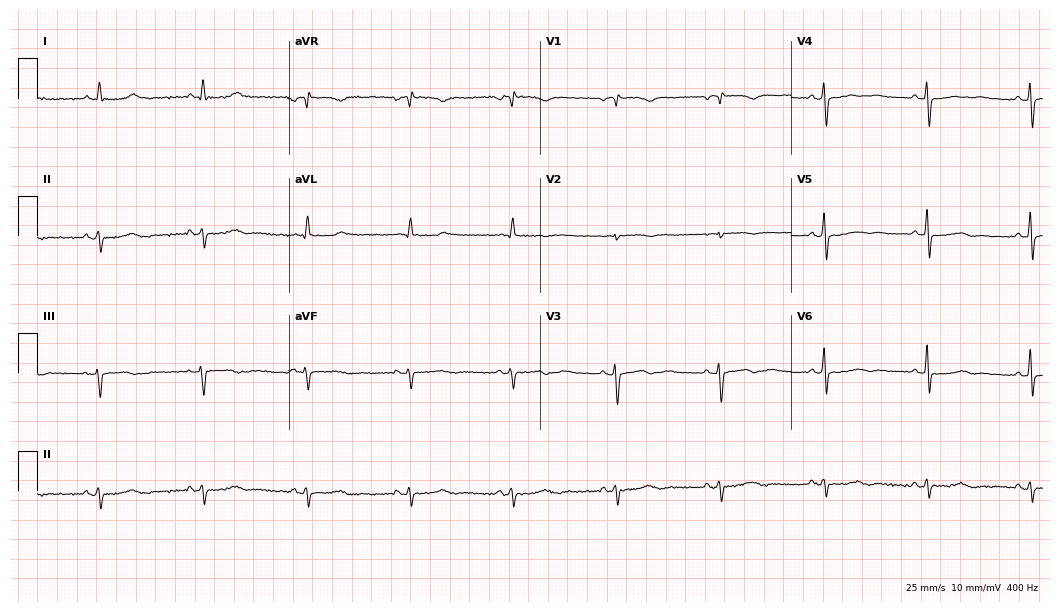
12-lead ECG from a female, 70 years old (10.2-second recording at 400 Hz). No first-degree AV block, right bundle branch block, left bundle branch block, sinus bradycardia, atrial fibrillation or sinus tachycardia recorded for this tracing. Other findings, if any, are not listed.